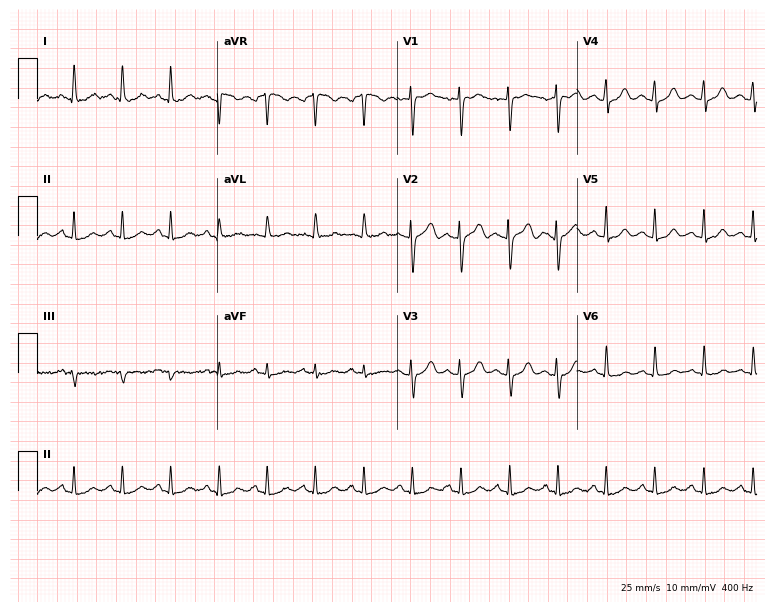
Resting 12-lead electrocardiogram (7.3-second recording at 400 Hz). Patient: a female, 37 years old. The tracing shows sinus tachycardia (a sinus rate of 100 beats per minute or more).